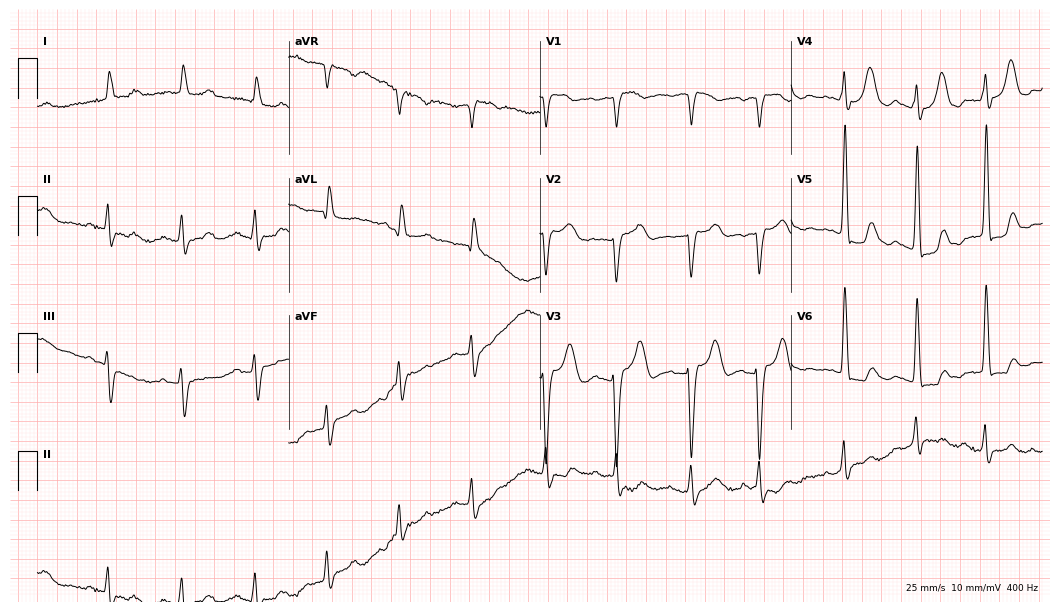
Resting 12-lead electrocardiogram. Patient: a male, 77 years old. None of these six findings is recorded: first-degree AV block, right bundle branch block (RBBB), left bundle branch block (LBBB), sinus bradycardia, atrial fibrillation (AF), sinus tachycardia. Other findings, if any, are not listed.